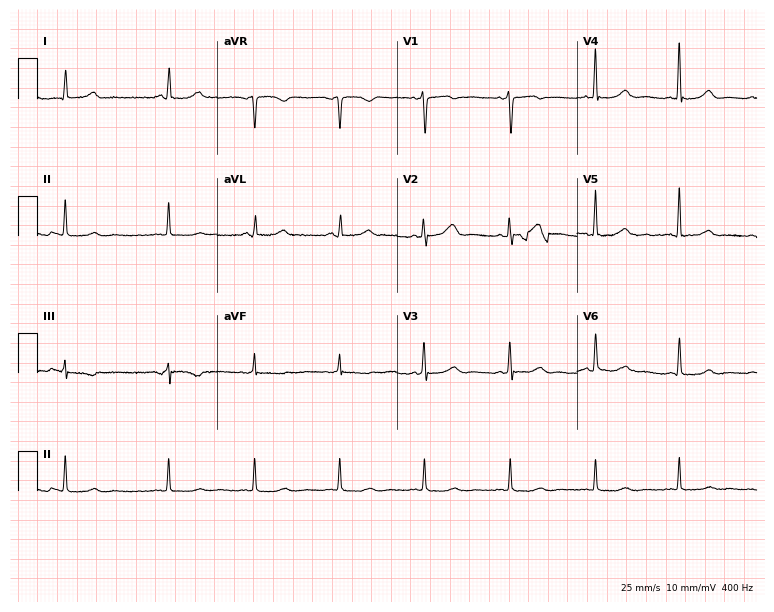
Resting 12-lead electrocardiogram (7.3-second recording at 400 Hz). Patient: a female, 41 years old. None of these six findings is recorded: first-degree AV block, right bundle branch block (RBBB), left bundle branch block (LBBB), sinus bradycardia, atrial fibrillation (AF), sinus tachycardia.